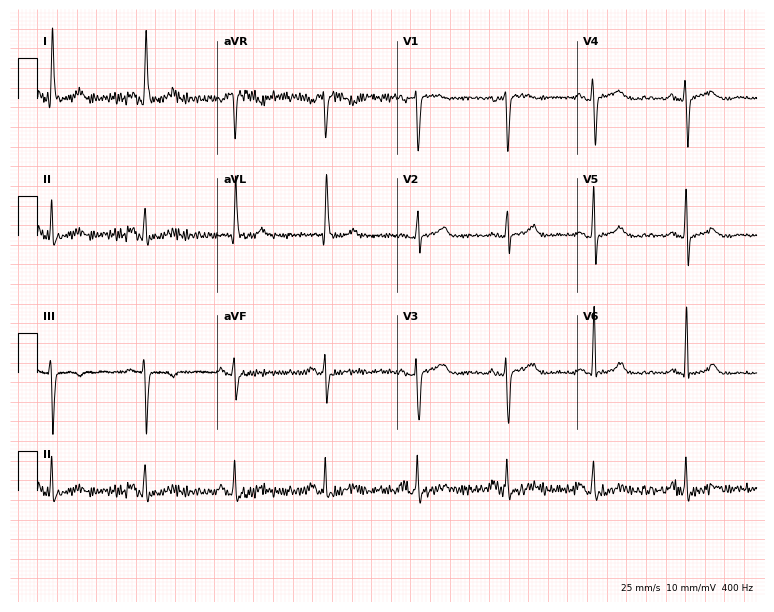
Standard 12-lead ECG recorded from a 54-year-old woman (7.3-second recording at 400 Hz). None of these six findings is recorded: first-degree AV block, right bundle branch block (RBBB), left bundle branch block (LBBB), sinus bradycardia, atrial fibrillation (AF), sinus tachycardia. Findings outside these six are not listed.